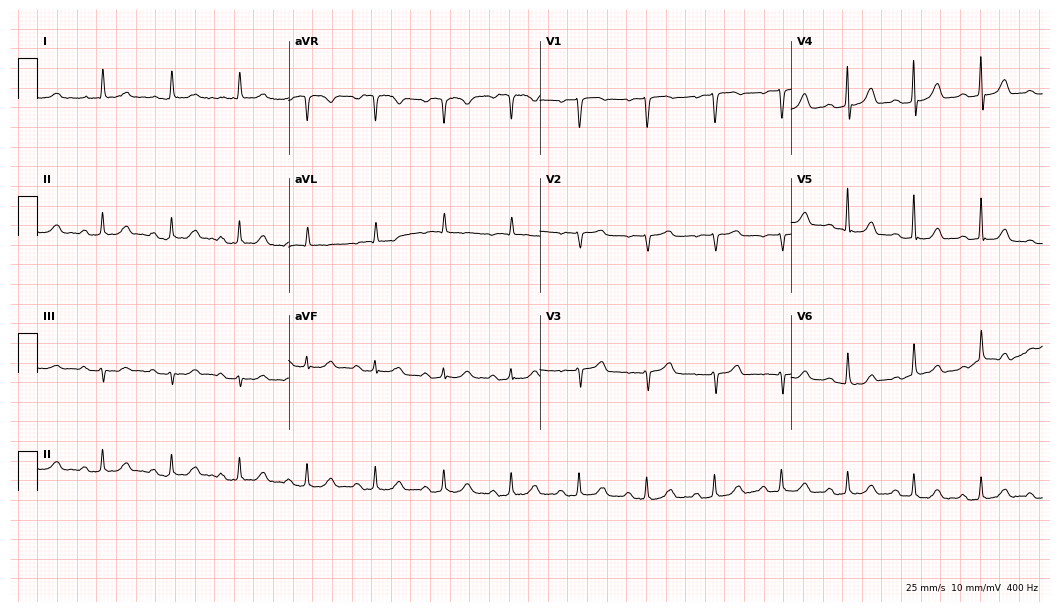
Standard 12-lead ECG recorded from a woman, 87 years old. None of these six findings is recorded: first-degree AV block, right bundle branch block (RBBB), left bundle branch block (LBBB), sinus bradycardia, atrial fibrillation (AF), sinus tachycardia. Other findings, if any, are not listed.